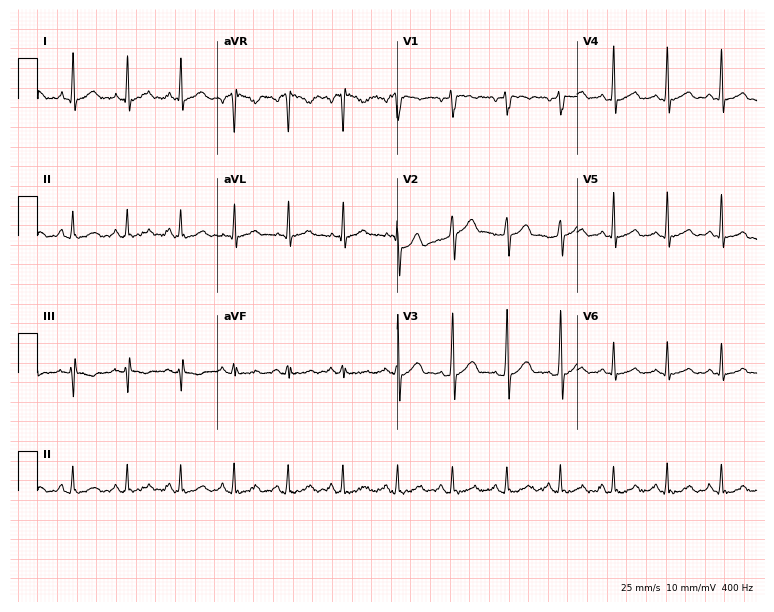
Standard 12-lead ECG recorded from a man, 37 years old (7.3-second recording at 400 Hz). The tracing shows sinus tachycardia (a sinus rate of 100 beats per minute or more).